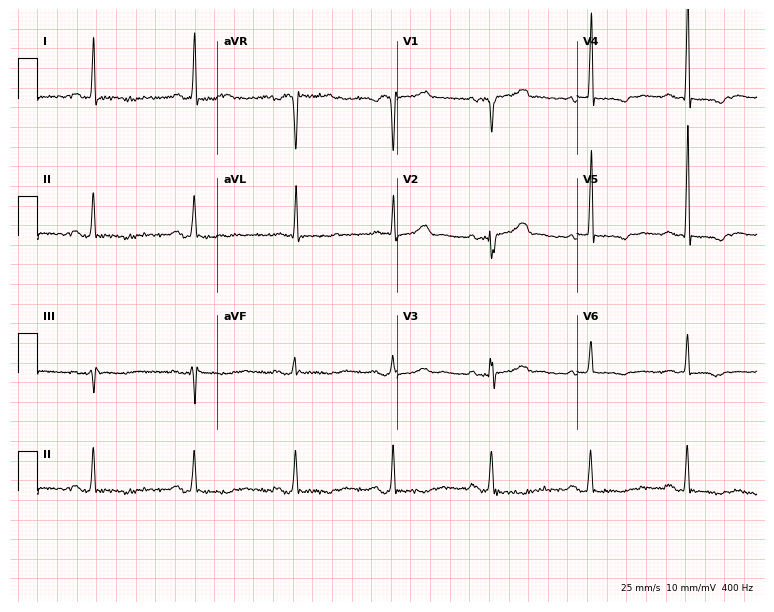
Standard 12-lead ECG recorded from a 53-year-old woman. None of these six findings is recorded: first-degree AV block, right bundle branch block (RBBB), left bundle branch block (LBBB), sinus bradycardia, atrial fibrillation (AF), sinus tachycardia.